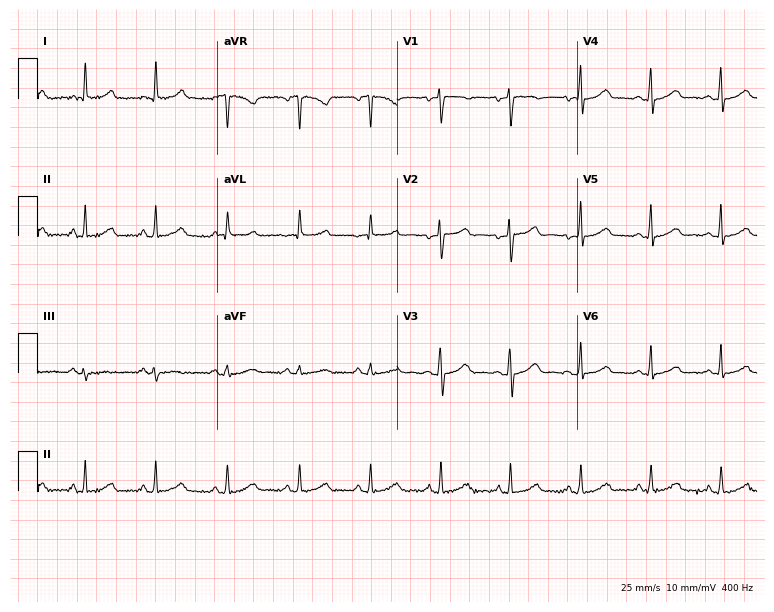
12-lead ECG from a 42-year-old female (7.3-second recording at 400 Hz). Recorded interpretation: within normal limits.